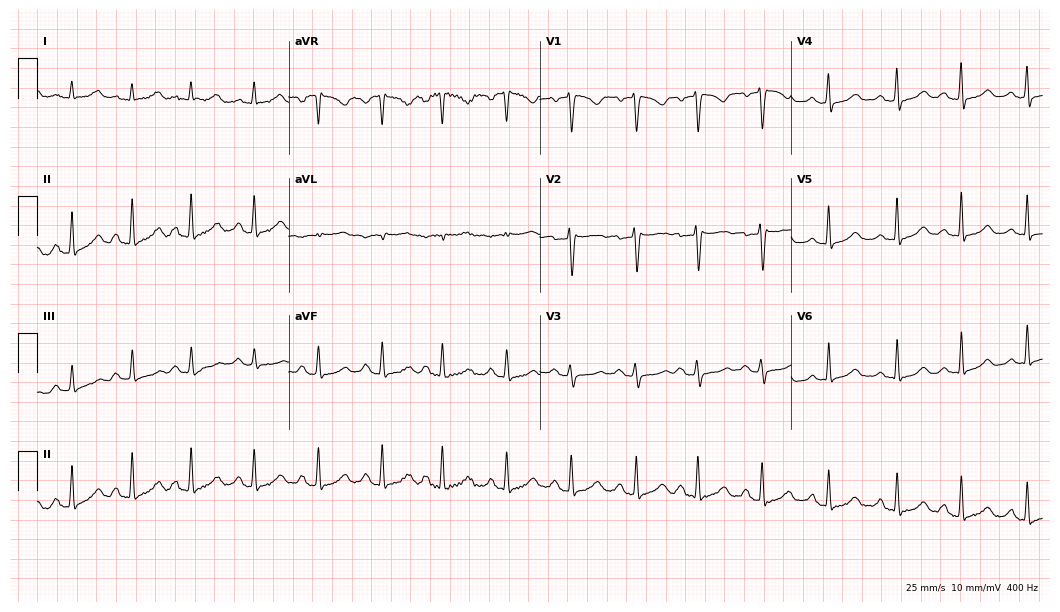
Standard 12-lead ECG recorded from a 36-year-old woman (10.2-second recording at 400 Hz). None of these six findings is recorded: first-degree AV block, right bundle branch block (RBBB), left bundle branch block (LBBB), sinus bradycardia, atrial fibrillation (AF), sinus tachycardia.